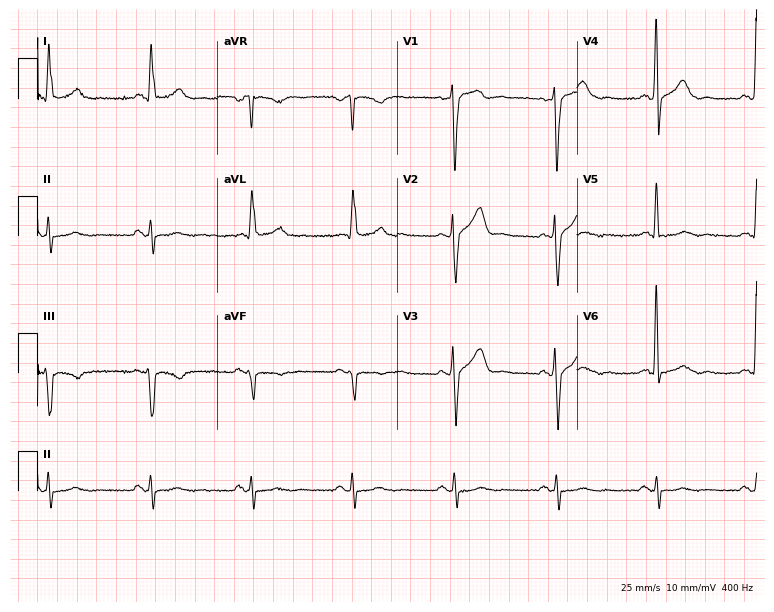
12-lead ECG (7.3-second recording at 400 Hz) from a male patient, 60 years old. Screened for six findings — first-degree AV block, right bundle branch block, left bundle branch block, sinus bradycardia, atrial fibrillation, sinus tachycardia — none is recorded.